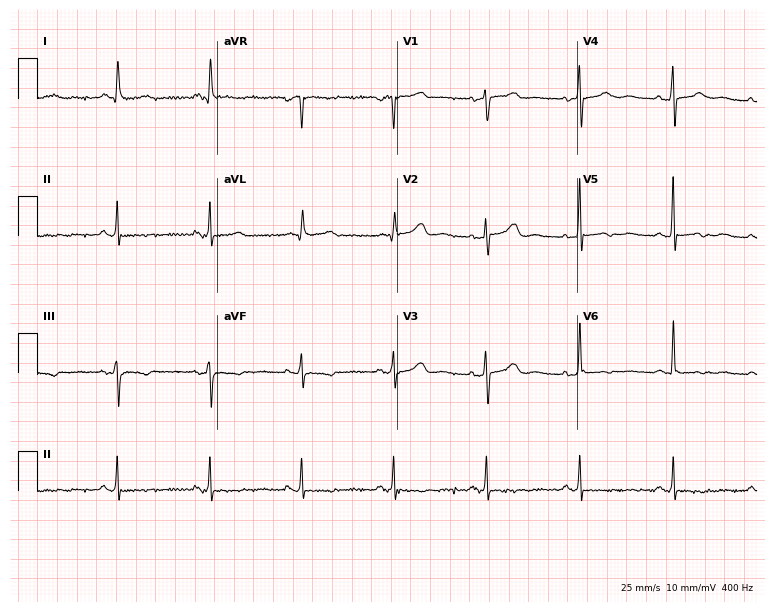
Standard 12-lead ECG recorded from a woman, 72 years old. None of these six findings is recorded: first-degree AV block, right bundle branch block (RBBB), left bundle branch block (LBBB), sinus bradycardia, atrial fibrillation (AF), sinus tachycardia. Findings outside these six are not listed.